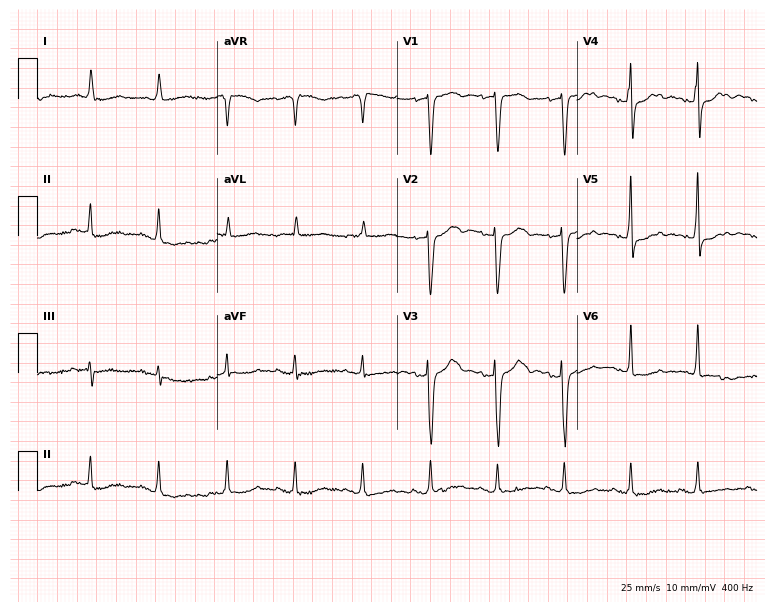
Standard 12-lead ECG recorded from a 74-year-old female patient (7.3-second recording at 400 Hz). Read as a normal ECG.